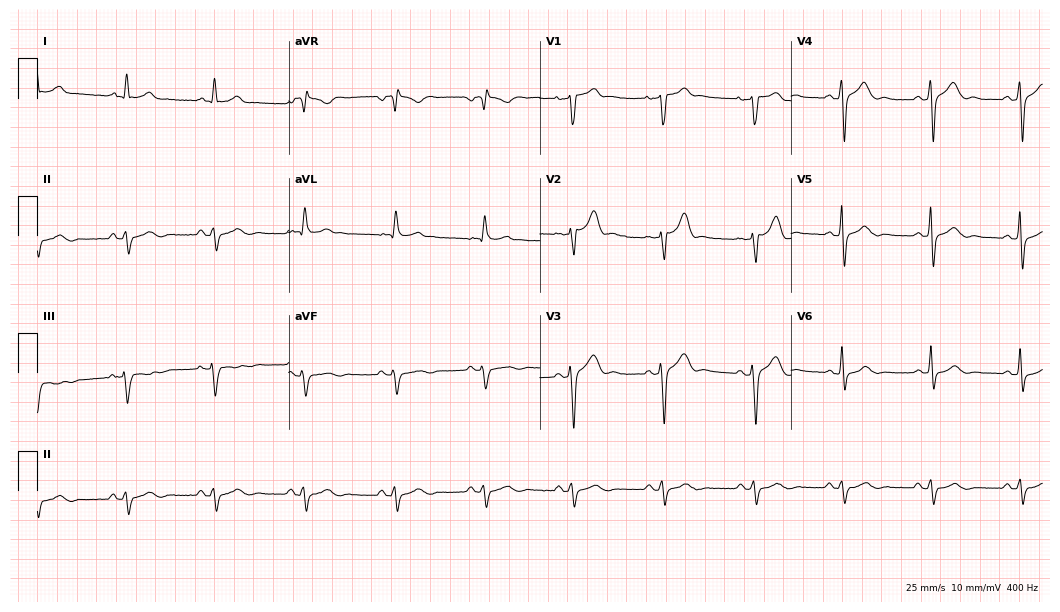
Electrocardiogram (10.2-second recording at 400 Hz), a 56-year-old male. Of the six screened findings (first-degree AV block, right bundle branch block (RBBB), left bundle branch block (LBBB), sinus bradycardia, atrial fibrillation (AF), sinus tachycardia), none is recorded.